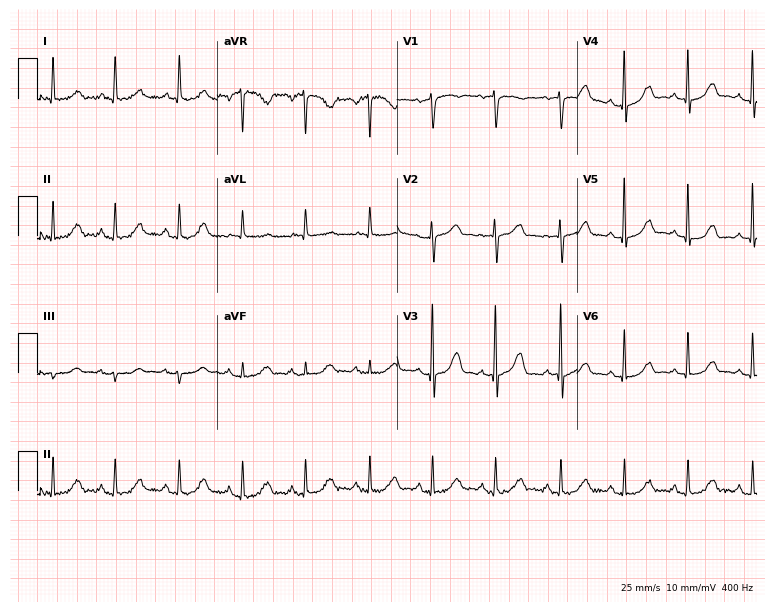
12-lead ECG (7.3-second recording at 400 Hz) from a female, 69 years old. Screened for six findings — first-degree AV block, right bundle branch block, left bundle branch block, sinus bradycardia, atrial fibrillation, sinus tachycardia — none is recorded.